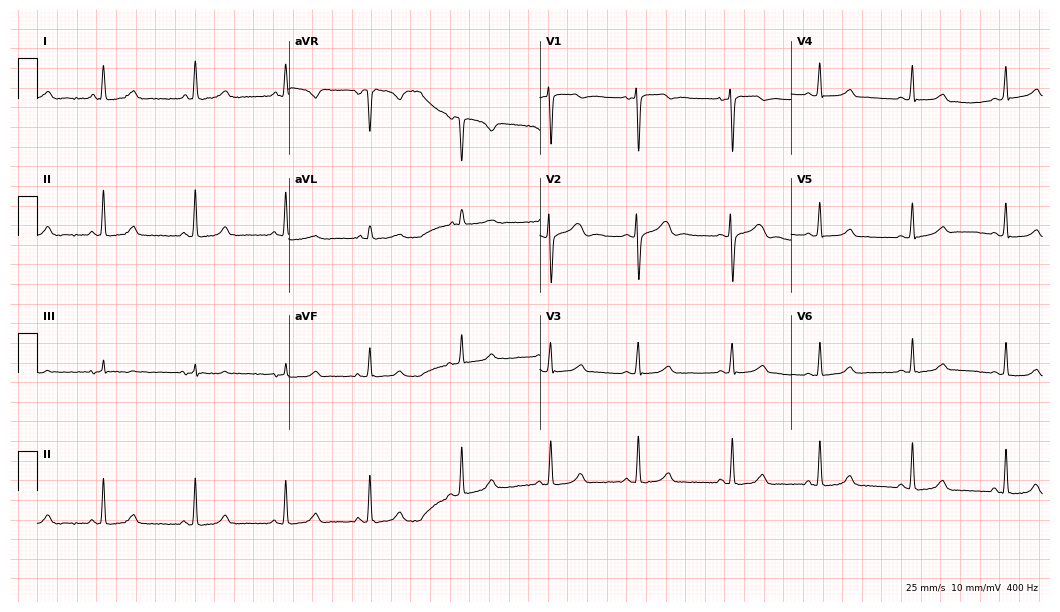
12-lead ECG from a 17-year-old woman (10.2-second recording at 400 Hz). No first-degree AV block, right bundle branch block, left bundle branch block, sinus bradycardia, atrial fibrillation or sinus tachycardia recorded for this tracing. Other findings, if any, are not listed.